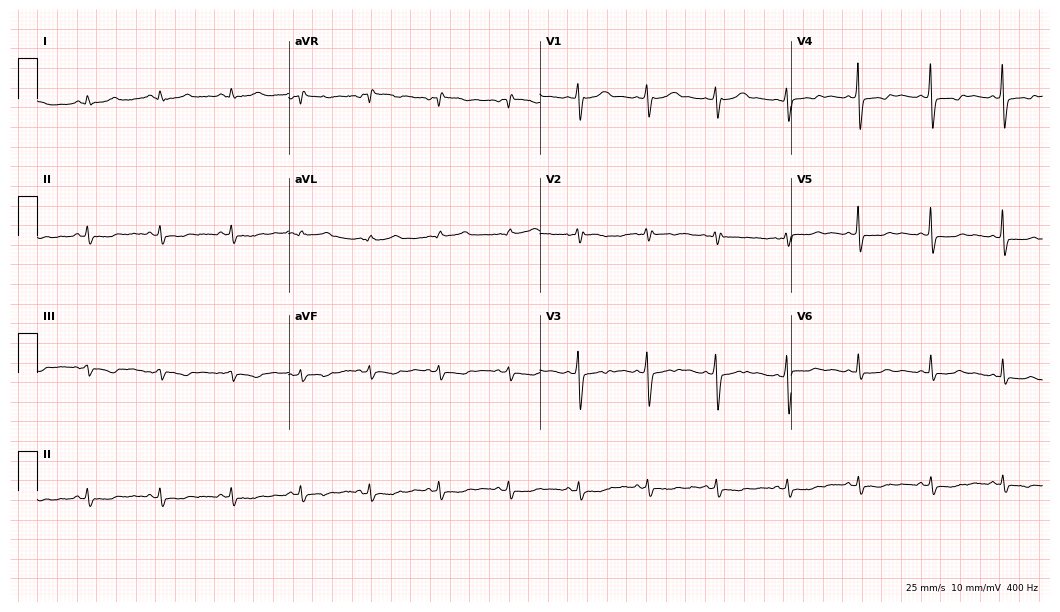
12-lead ECG from a female, 39 years old. Screened for six findings — first-degree AV block, right bundle branch block (RBBB), left bundle branch block (LBBB), sinus bradycardia, atrial fibrillation (AF), sinus tachycardia — none is recorded.